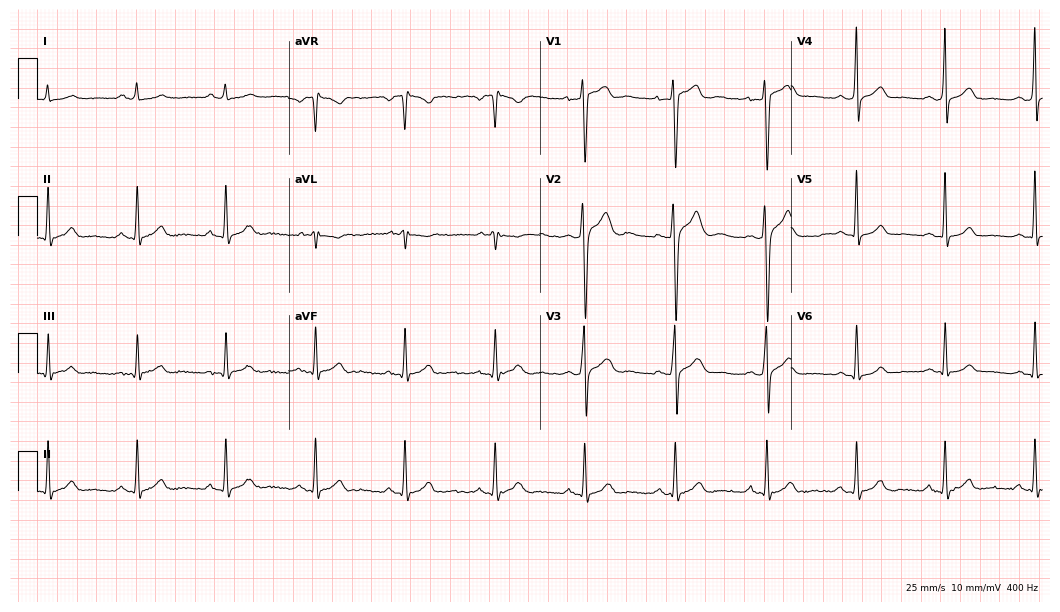
Resting 12-lead electrocardiogram (10.2-second recording at 400 Hz). Patient: a man, 24 years old. Read as a normal ECG.